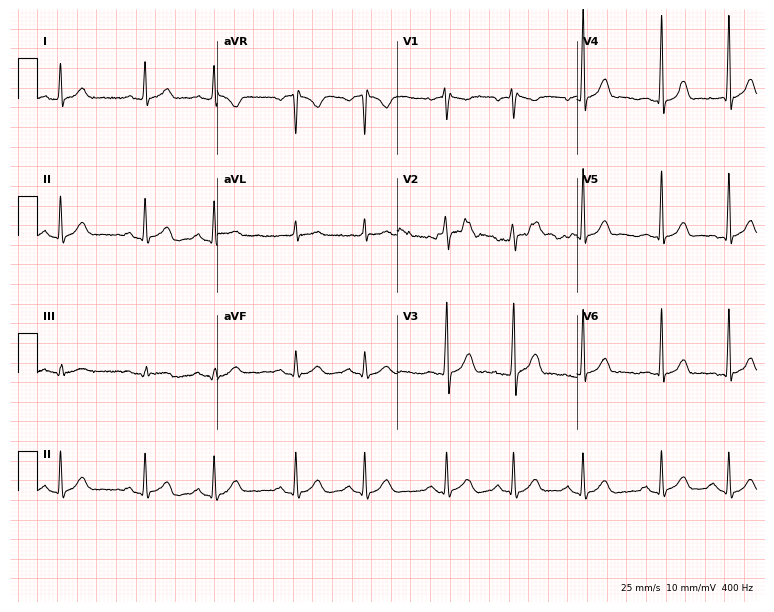
Resting 12-lead electrocardiogram (7.3-second recording at 400 Hz). Patient: a 40-year-old male. Read as a normal ECG.